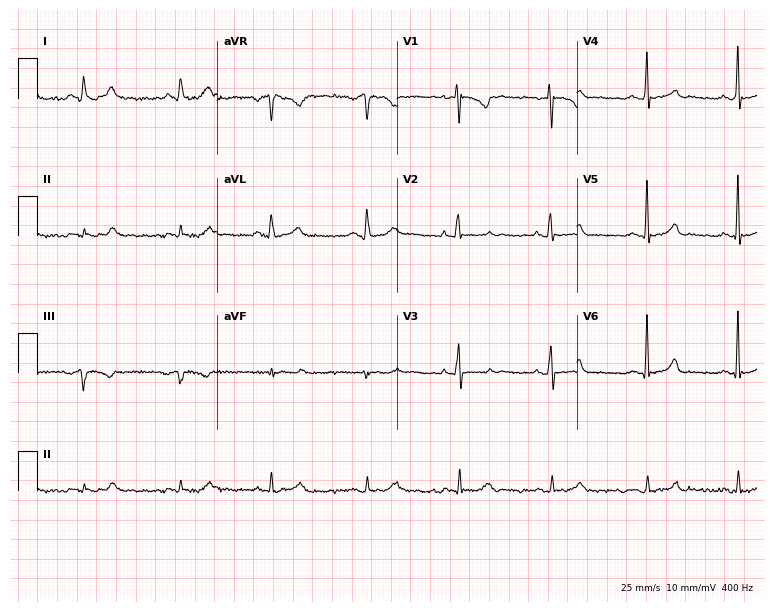
12-lead ECG from a 56-year-old woman. Labelled as a normal ECG.